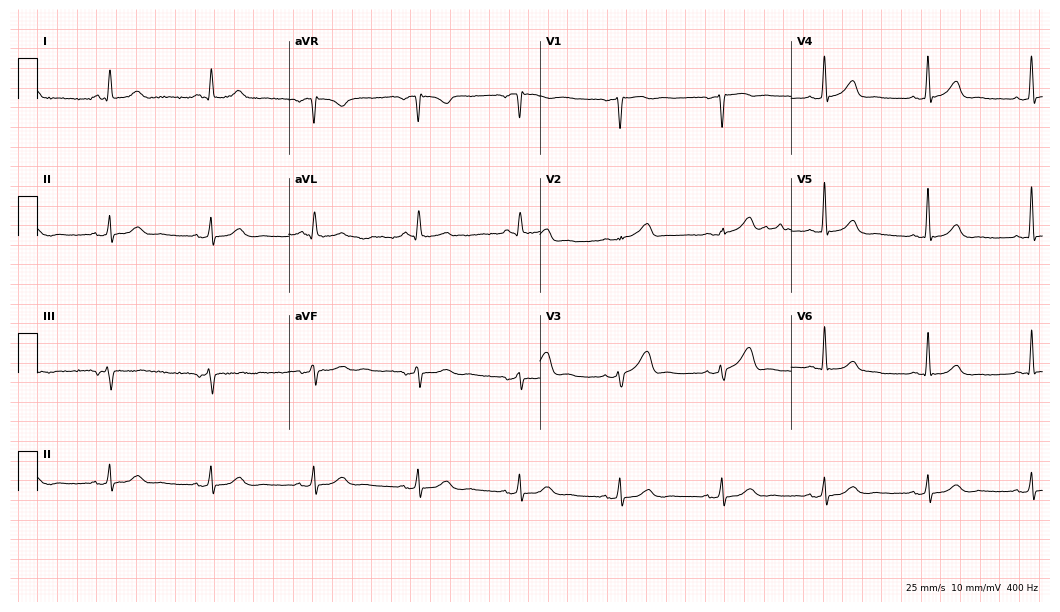
Resting 12-lead electrocardiogram (10.2-second recording at 400 Hz). Patient: a 62-year-old male. None of these six findings is recorded: first-degree AV block, right bundle branch block, left bundle branch block, sinus bradycardia, atrial fibrillation, sinus tachycardia.